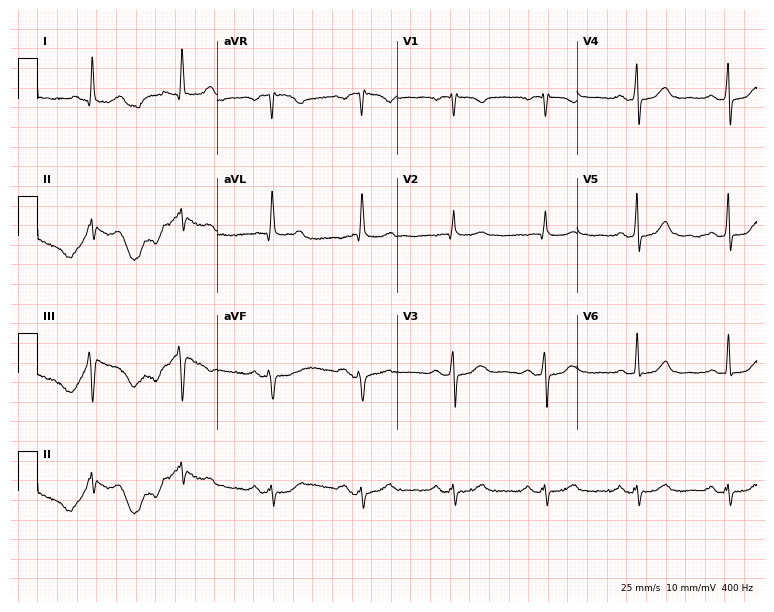
12-lead ECG from a male patient, 80 years old. No first-degree AV block, right bundle branch block, left bundle branch block, sinus bradycardia, atrial fibrillation or sinus tachycardia recorded for this tracing. Findings outside these six are not listed.